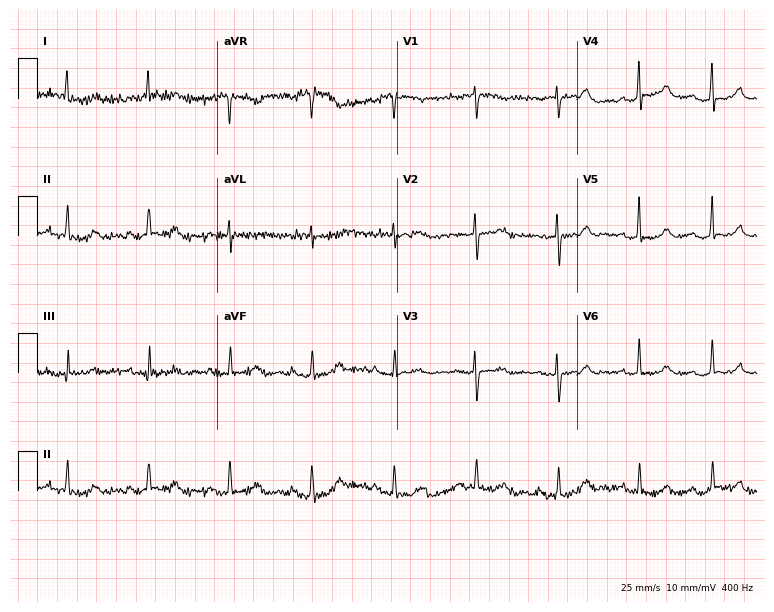
Resting 12-lead electrocardiogram (7.3-second recording at 400 Hz). Patient: a female, 76 years old. None of these six findings is recorded: first-degree AV block, right bundle branch block, left bundle branch block, sinus bradycardia, atrial fibrillation, sinus tachycardia. Findings outside these six are not listed.